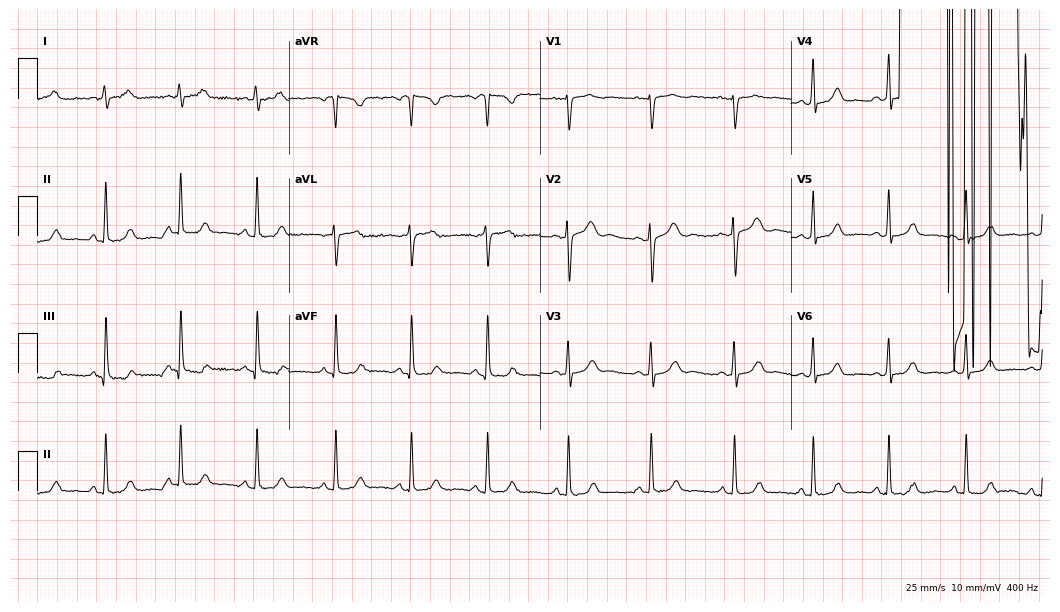
Standard 12-lead ECG recorded from a 19-year-old female patient (10.2-second recording at 400 Hz). Read as a normal ECG.